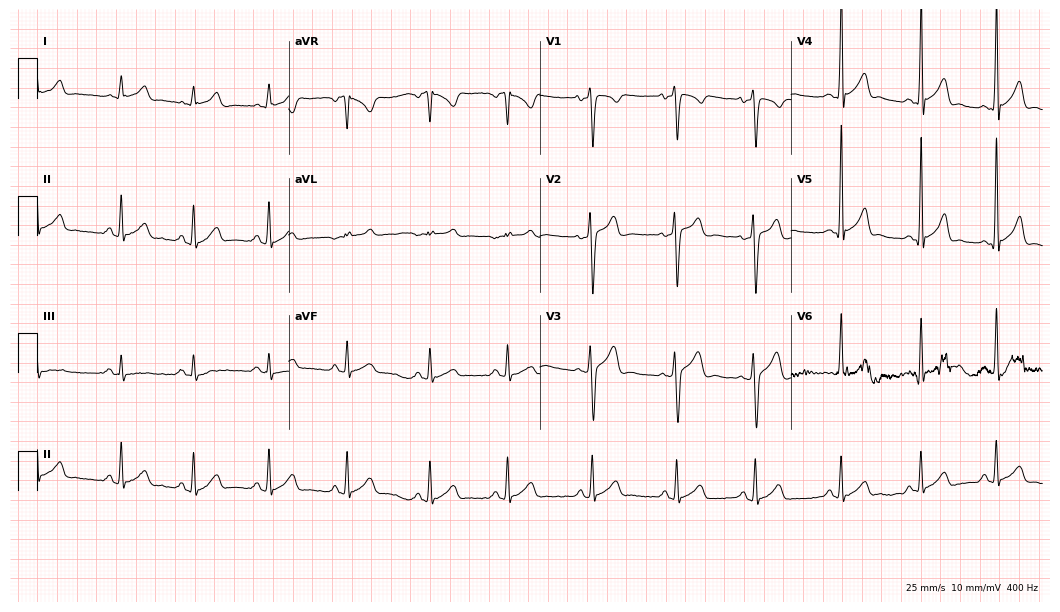
ECG — a 21-year-old male patient. Labelled as a normal ECG.